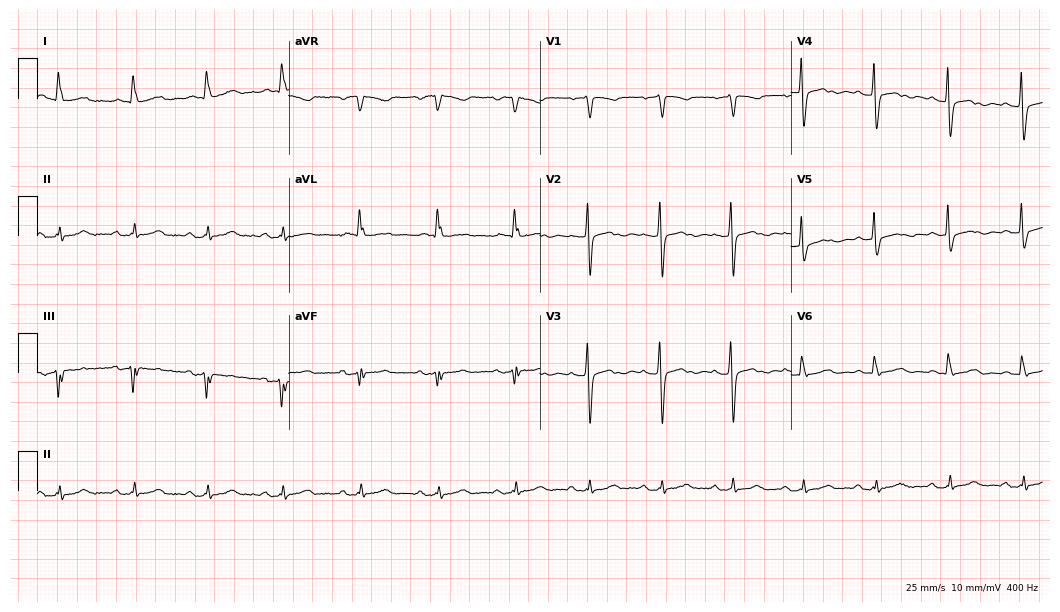
Resting 12-lead electrocardiogram. Patient: a female, 80 years old. Read as a normal ECG.